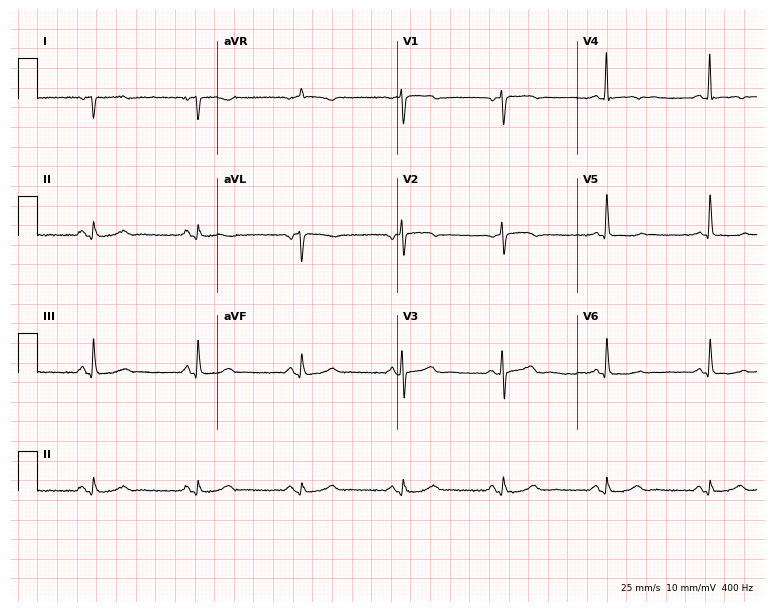
ECG (7.3-second recording at 400 Hz) — a 65-year-old woman. Screened for six findings — first-degree AV block, right bundle branch block, left bundle branch block, sinus bradycardia, atrial fibrillation, sinus tachycardia — none is recorded. Only these six findings were labelled.